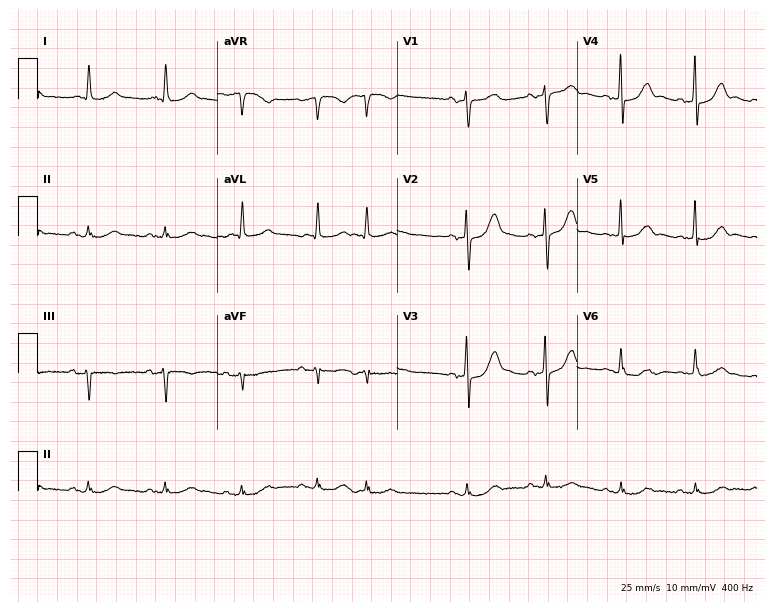
Electrocardiogram, a male, 78 years old. Overall reading on record: normal ECG.